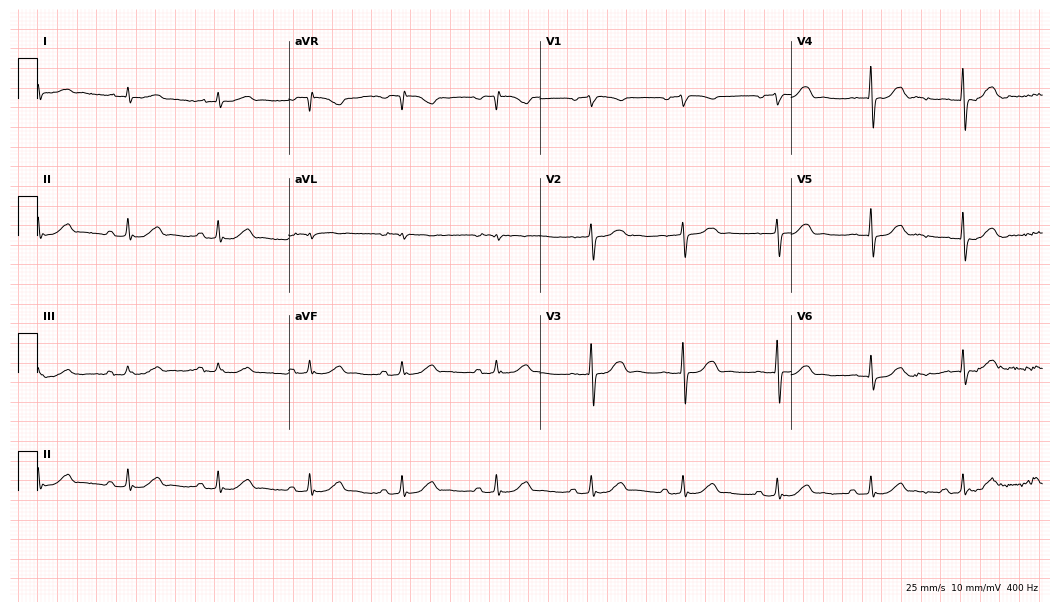
ECG (10.2-second recording at 400 Hz) — a female patient, 86 years old. Labelled as a normal ECG.